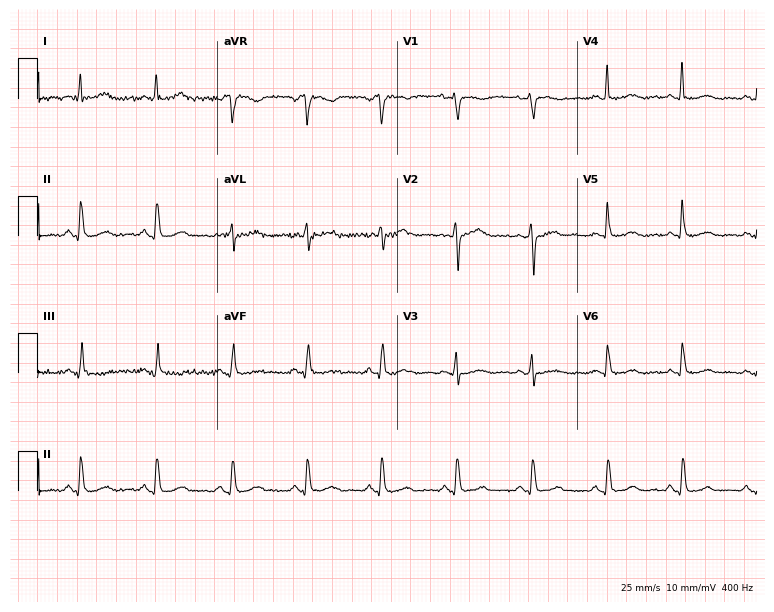
12-lead ECG from a female, 55 years old (7.3-second recording at 400 Hz). No first-degree AV block, right bundle branch block, left bundle branch block, sinus bradycardia, atrial fibrillation or sinus tachycardia recorded for this tracing. Other findings, if any, are not listed.